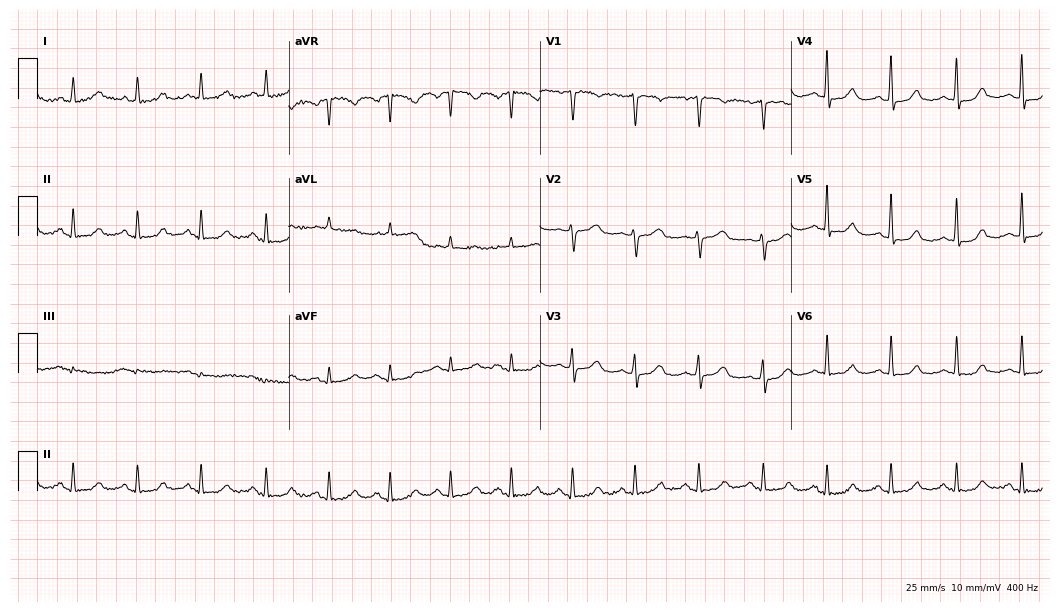
12-lead ECG from a female patient, 66 years old. Recorded interpretation: within normal limits.